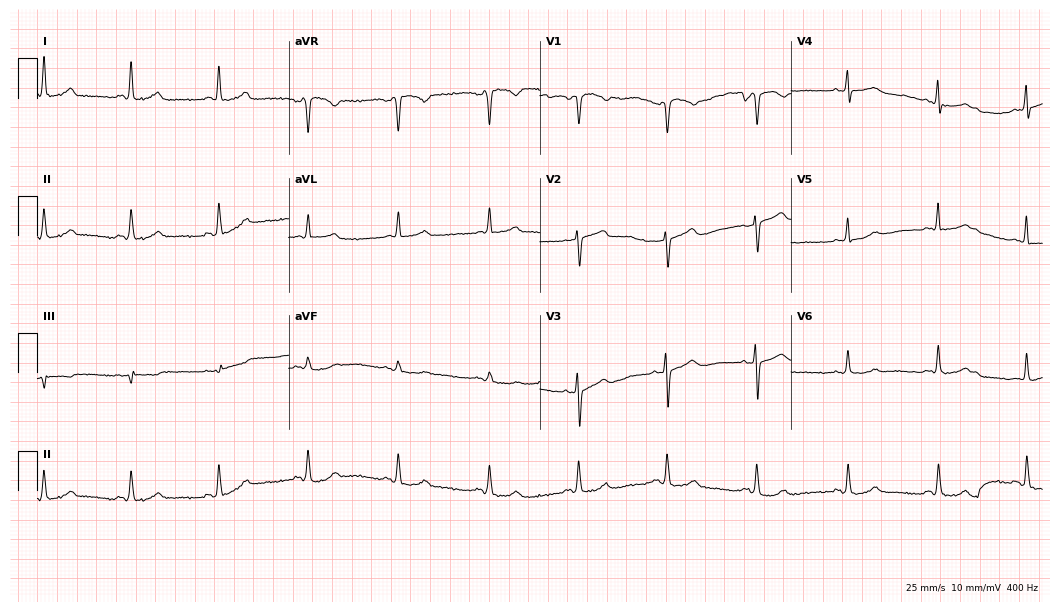
12-lead ECG (10.2-second recording at 400 Hz) from a female, 61 years old. Labelled as a normal ECG.